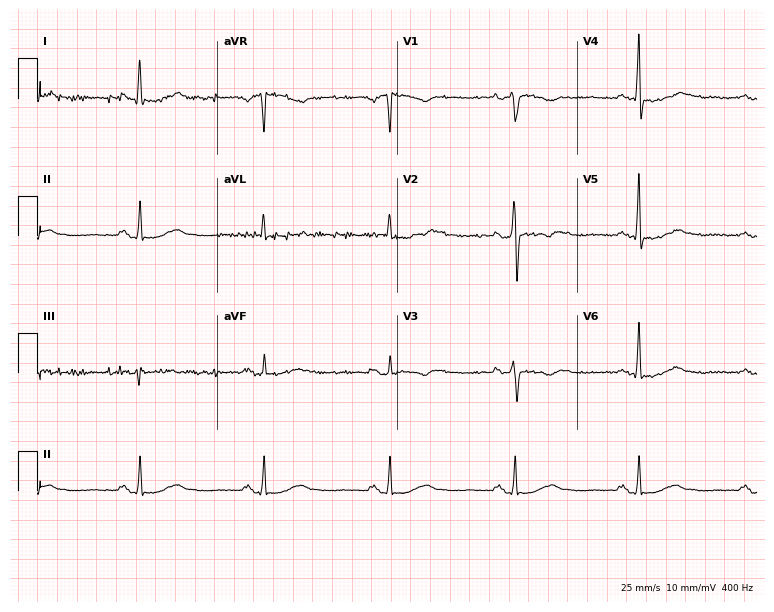
ECG (7.3-second recording at 400 Hz) — a man, 50 years old. Screened for six findings — first-degree AV block, right bundle branch block, left bundle branch block, sinus bradycardia, atrial fibrillation, sinus tachycardia — none is recorded.